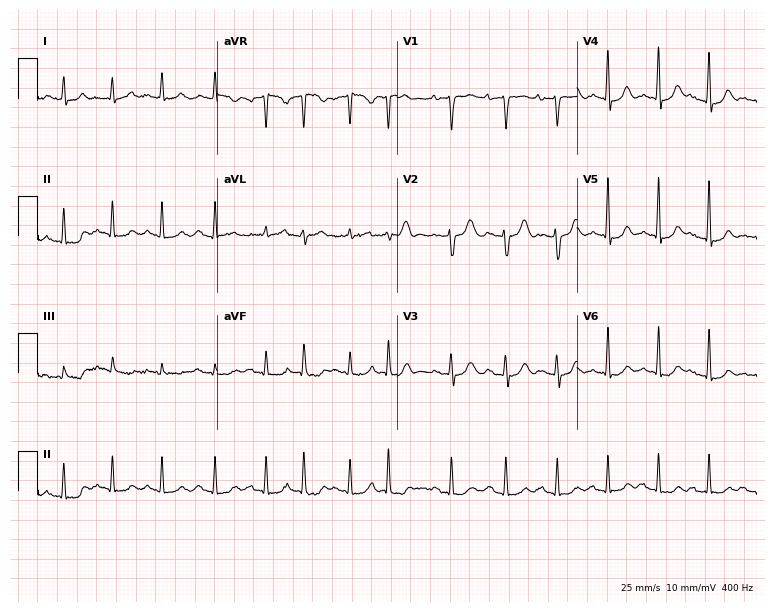
12-lead ECG from a woman, 82 years old. Findings include sinus tachycardia (a sinus rate of 100 beats per minute or more).